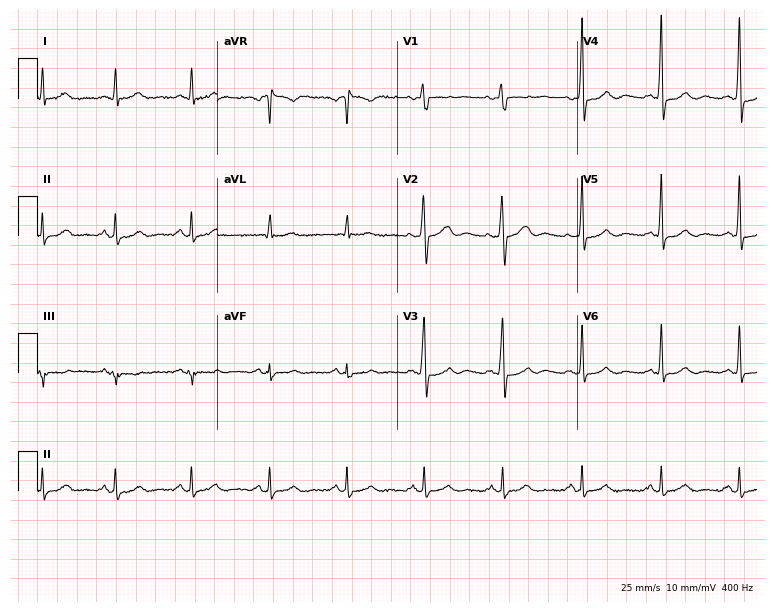
Standard 12-lead ECG recorded from a man, 65 years old. Read as a normal ECG.